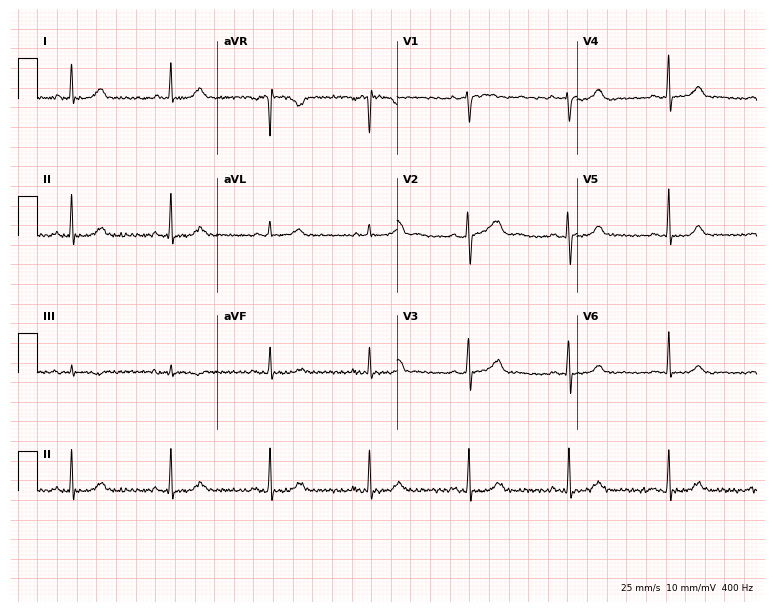
12-lead ECG (7.3-second recording at 400 Hz) from a 50-year-old female. Screened for six findings — first-degree AV block, right bundle branch block, left bundle branch block, sinus bradycardia, atrial fibrillation, sinus tachycardia — none is recorded. Only these six findings were labelled.